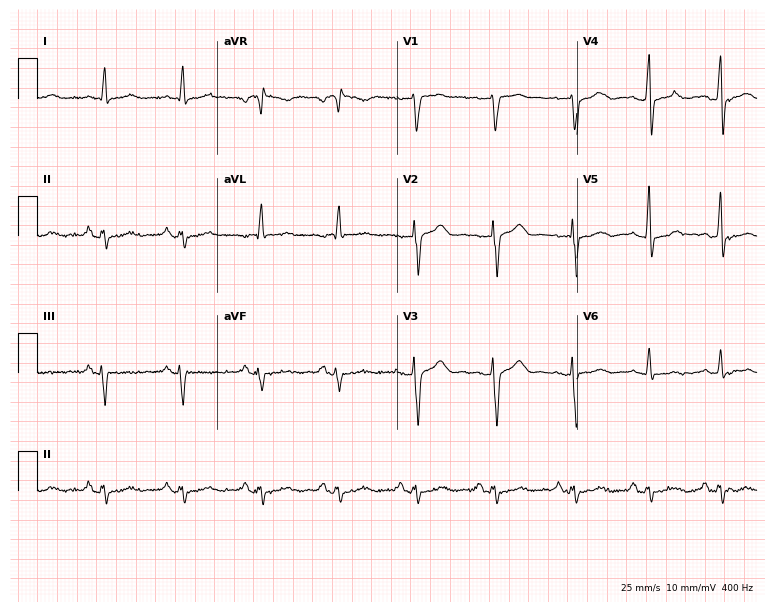
Resting 12-lead electrocardiogram (7.3-second recording at 400 Hz). Patient: a male, 58 years old. None of these six findings is recorded: first-degree AV block, right bundle branch block (RBBB), left bundle branch block (LBBB), sinus bradycardia, atrial fibrillation (AF), sinus tachycardia.